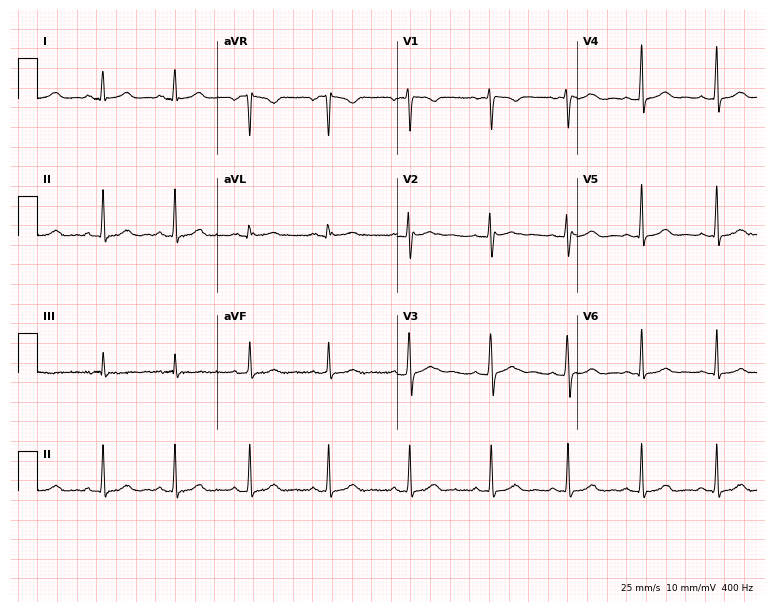
Resting 12-lead electrocardiogram. Patient: a 30-year-old female. Read as a normal ECG.